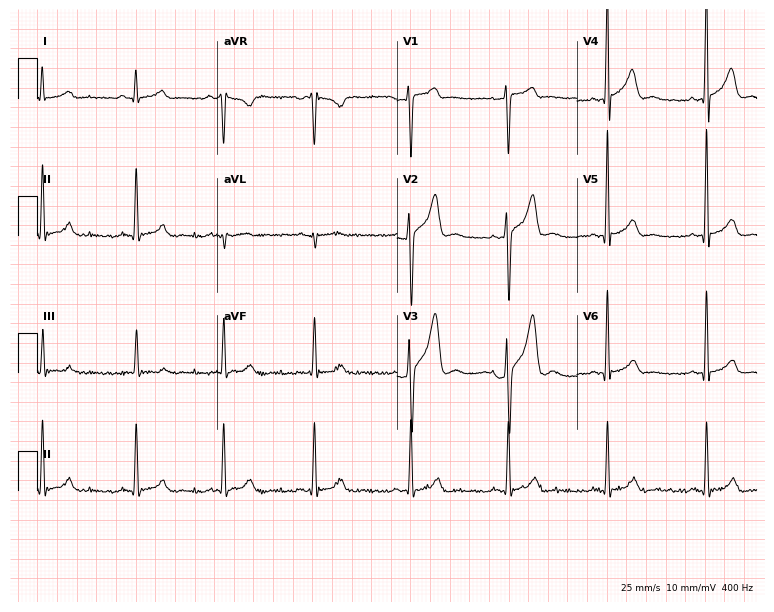
ECG — a 32-year-old male patient. Screened for six findings — first-degree AV block, right bundle branch block (RBBB), left bundle branch block (LBBB), sinus bradycardia, atrial fibrillation (AF), sinus tachycardia — none is recorded.